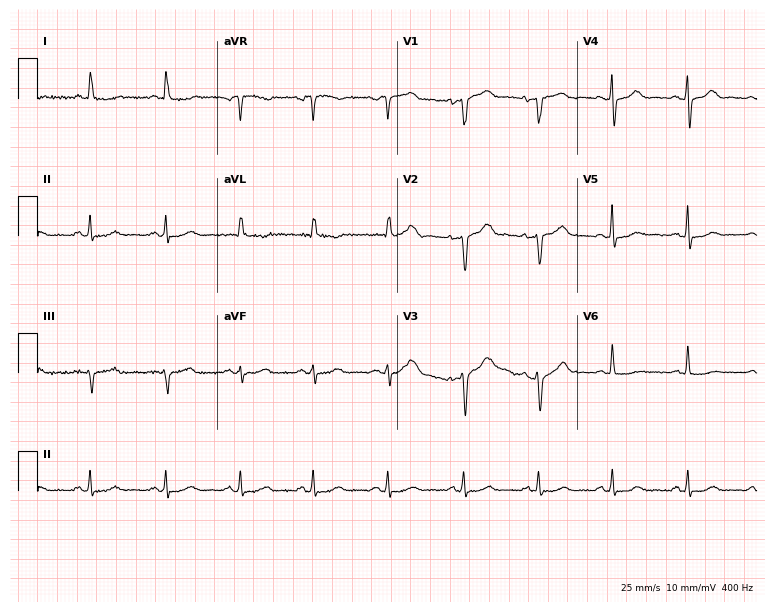
ECG (7.3-second recording at 400 Hz) — a 60-year-old female. Screened for six findings — first-degree AV block, right bundle branch block (RBBB), left bundle branch block (LBBB), sinus bradycardia, atrial fibrillation (AF), sinus tachycardia — none is recorded. Other findings, if any, are not listed.